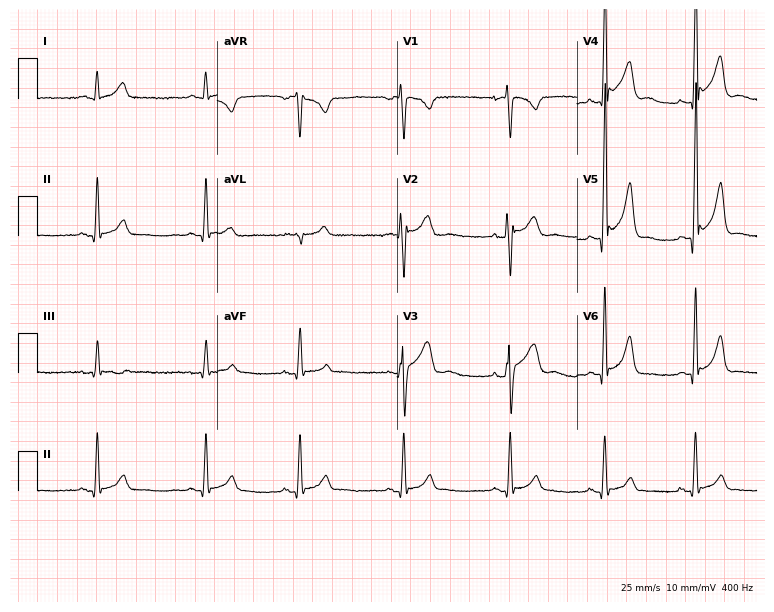
12-lead ECG from a 21-year-old male patient. Labelled as a normal ECG.